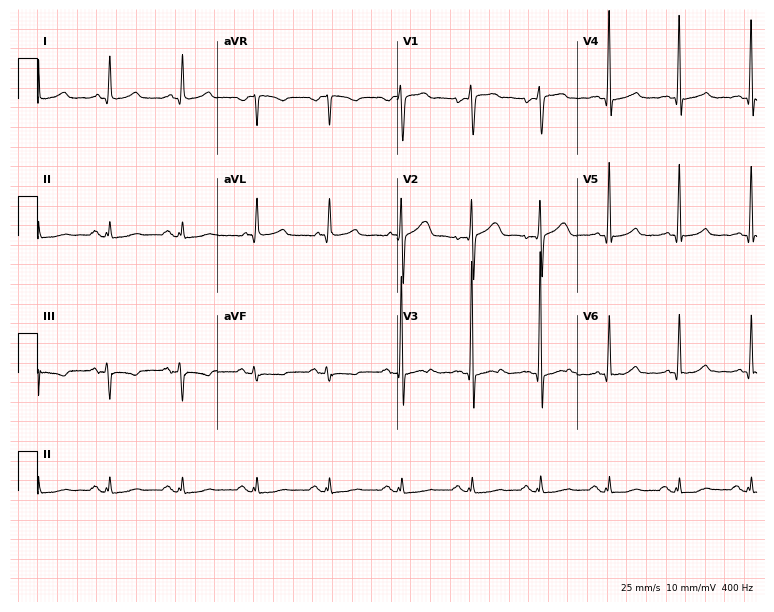
12-lead ECG (7.3-second recording at 400 Hz) from a male, 43 years old. Screened for six findings — first-degree AV block, right bundle branch block, left bundle branch block, sinus bradycardia, atrial fibrillation, sinus tachycardia — none is recorded.